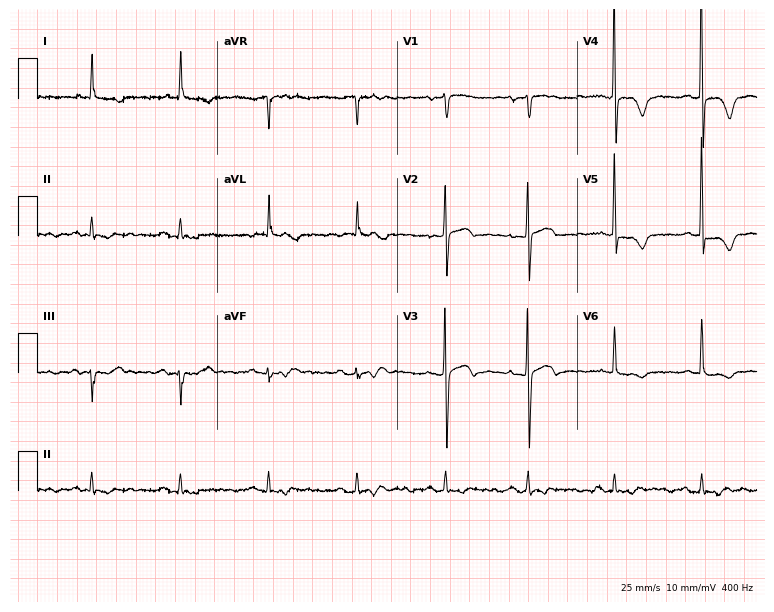
Electrocardiogram (7.3-second recording at 400 Hz), an 85-year-old man. Of the six screened findings (first-degree AV block, right bundle branch block, left bundle branch block, sinus bradycardia, atrial fibrillation, sinus tachycardia), none is recorded. Only these six findings were labelled.